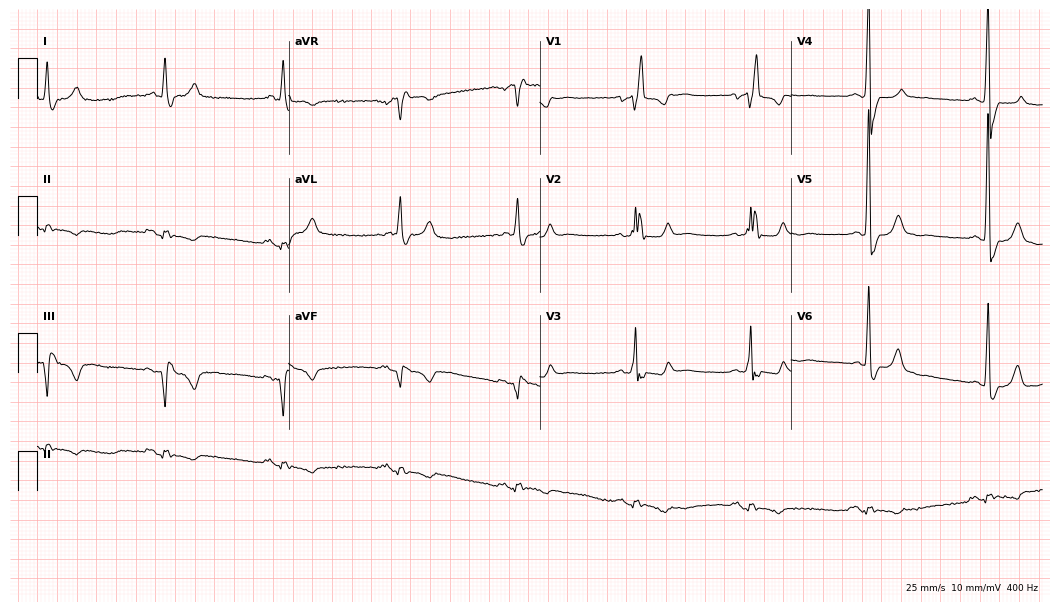
ECG — a male patient, 66 years old. Findings include right bundle branch block (RBBB).